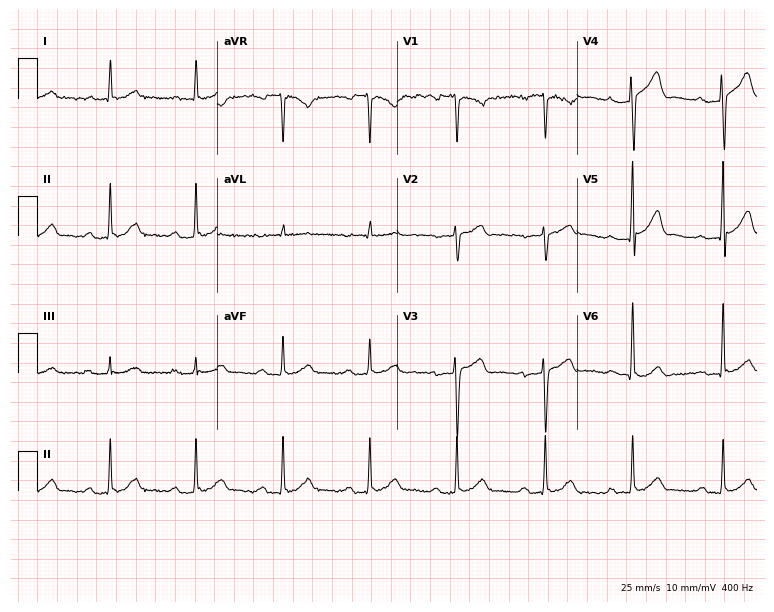
12-lead ECG from a man, 67 years old (7.3-second recording at 400 Hz). Shows first-degree AV block.